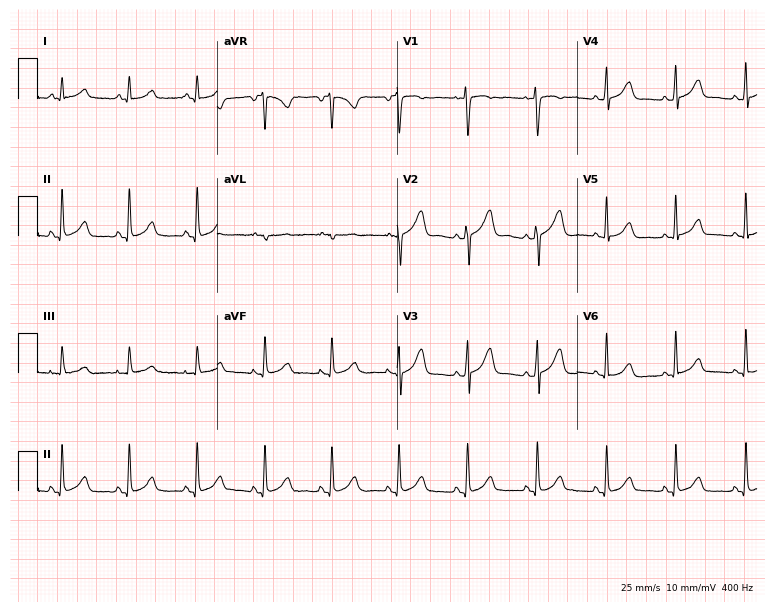
12-lead ECG from a 32-year-old female patient. Labelled as a normal ECG.